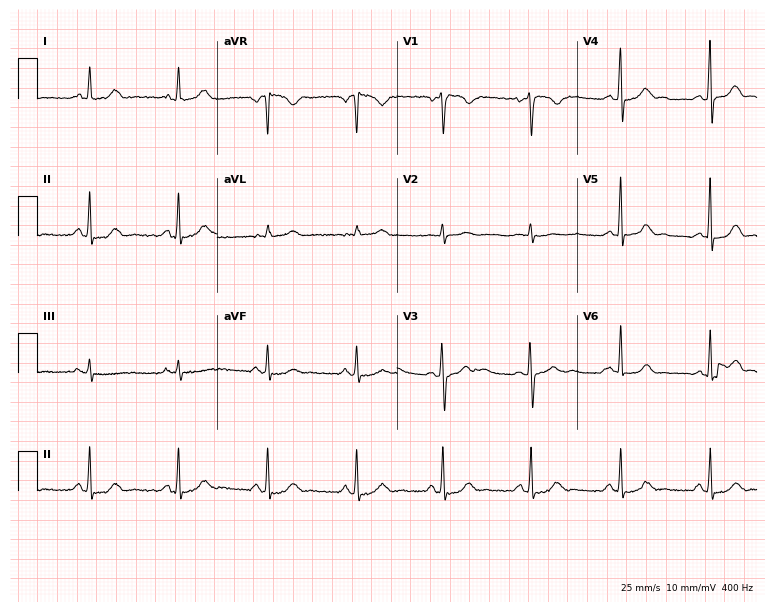
12-lead ECG from a 23-year-old woman. No first-degree AV block, right bundle branch block, left bundle branch block, sinus bradycardia, atrial fibrillation or sinus tachycardia recorded for this tracing. Only these six findings were labelled.